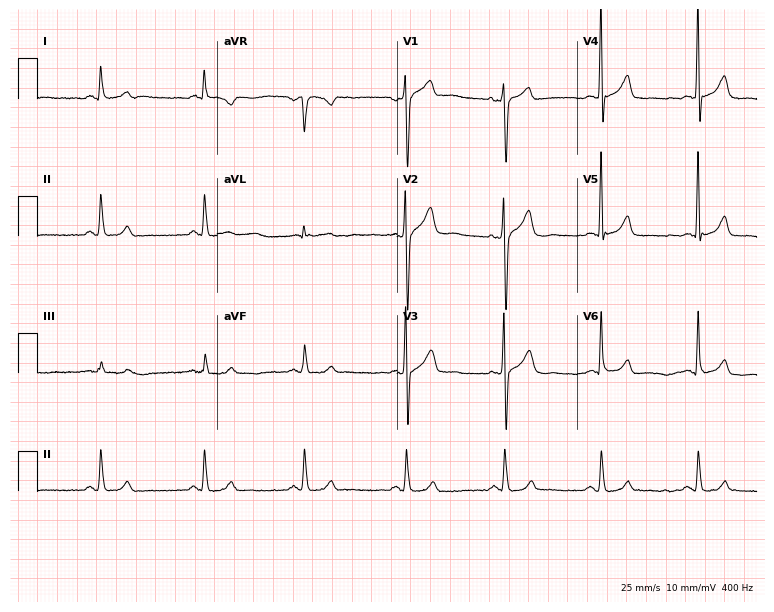
ECG (7.3-second recording at 400 Hz) — a 56-year-old male patient. Labelled as a normal ECG.